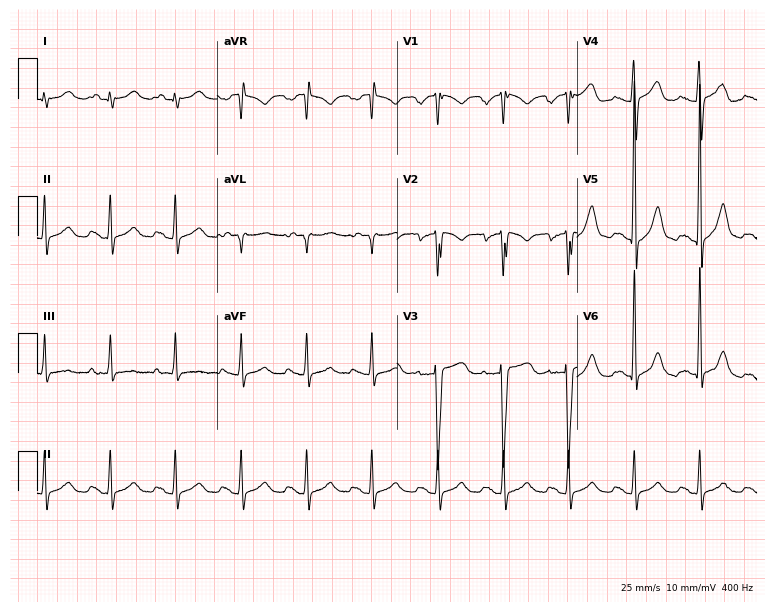
12-lead ECG from a 50-year-old male. No first-degree AV block, right bundle branch block, left bundle branch block, sinus bradycardia, atrial fibrillation or sinus tachycardia recorded for this tracing. Other findings, if any, are not listed.